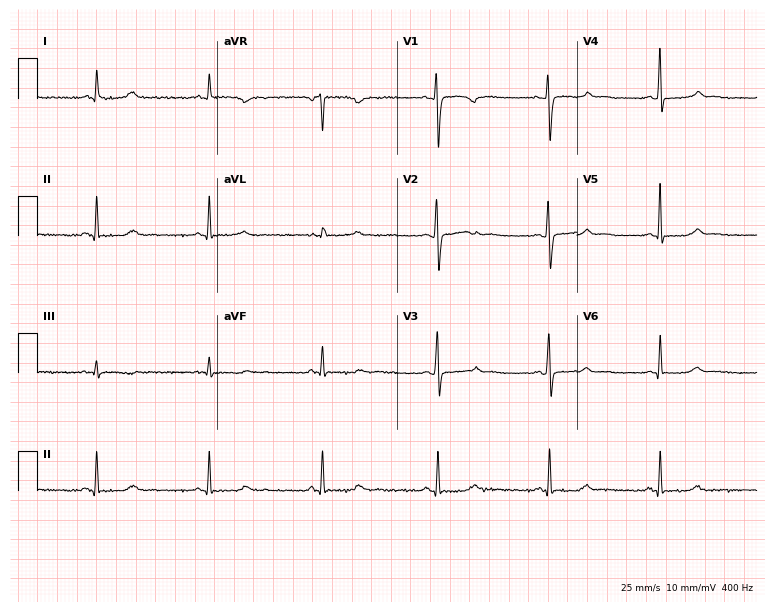
Standard 12-lead ECG recorded from a 40-year-old woman (7.3-second recording at 400 Hz). None of these six findings is recorded: first-degree AV block, right bundle branch block (RBBB), left bundle branch block (LBBB), sinus bradycardia, atrial fibrillation (AF), sinus tachycardia. Only these six findings were labelled.